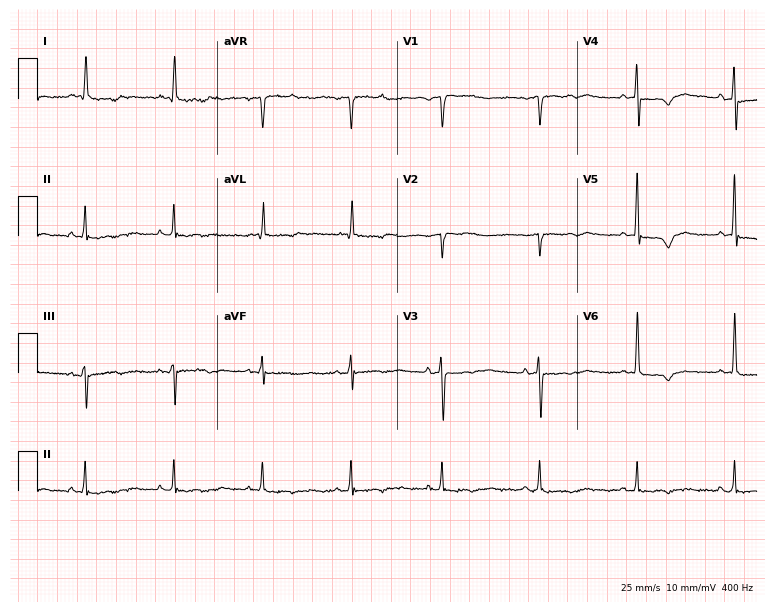
Standard 12-lead ECG recorded from a 77-year-old female (7.3-second recording at 400 Hz). None of these six findings is recorded: first-degree AV block, right bundle branch block, left bundle branch block, sinus bradycardia, atrial fibrillation, sinus tachycardia. Only these six findings were labelled.